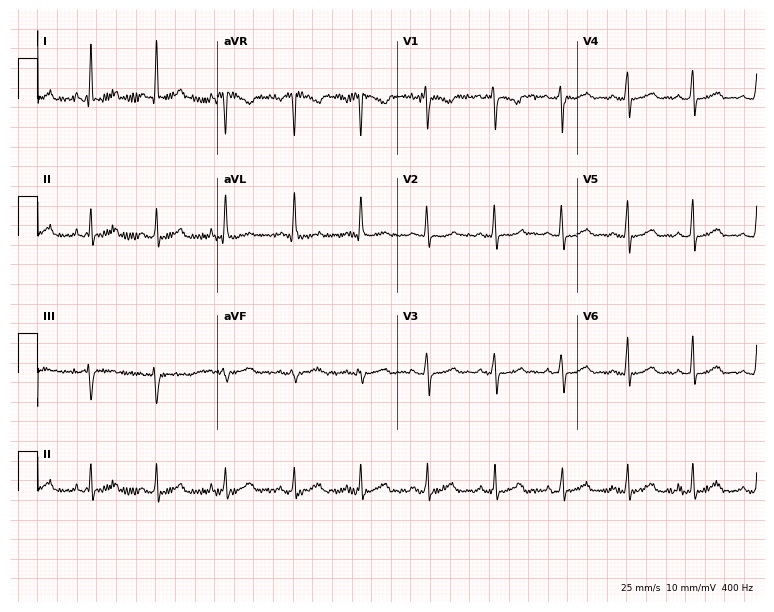
12-lead ECG from a 39-year-old female patient. Labelled as a normal ECG.